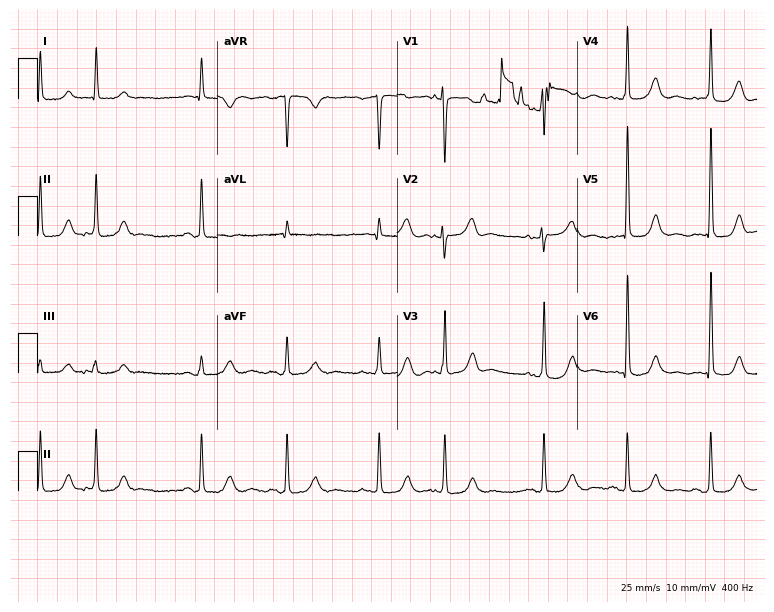
12-lead ECG from a woman, 82 years old (7.3-second recording at 400 Hz). No first-degree AV block, right bundle branch block, left bundle branch block, sinus bradycardia, atrial fibrillation or sinus tachycardia recorded for this tracing. Findings outside these six are not listed.